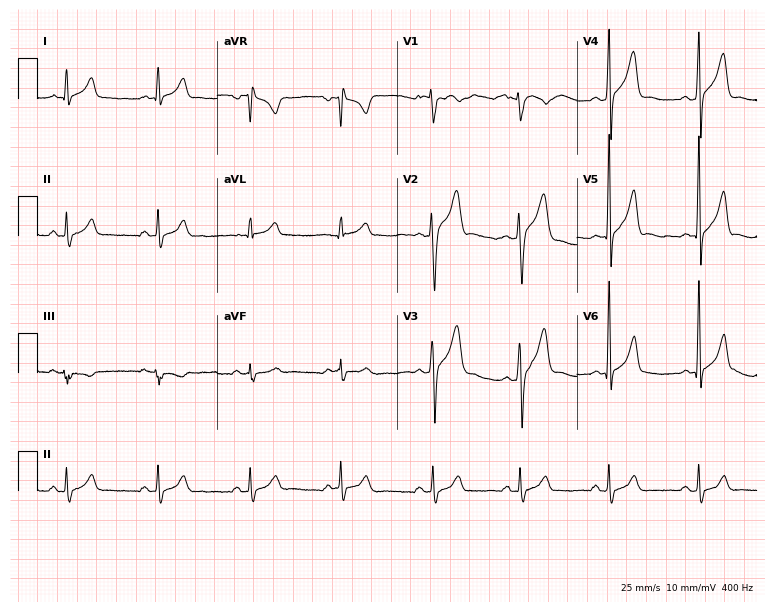
ECG (7.3-second recording at 400 Hz) — a 30-year-old male. Screened for six findings — first-degree AV block, right bundle branch block, left bundle branch block, sinus bradycardia, atrial fibrillation, sinus tachycardia — none is recorded. Findings outside these six are not listed.